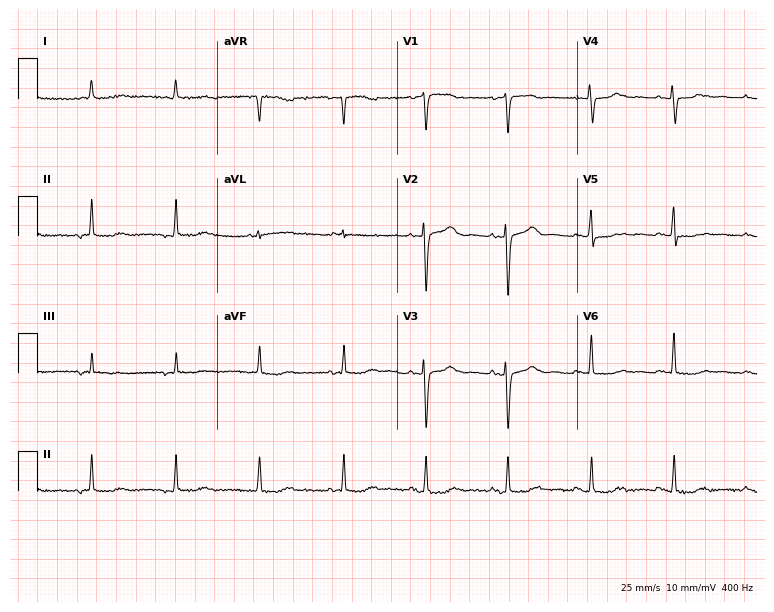
ECG (7.3-second recording at 400 Hz) — a female patient, 63 years old. Screened for six findings — first-degree AV block, right bundle branch block, left bundle branch block, sinus bradycardia, atrial fibrillation, sinus tachycardia — none is recorded. Only these six findings were labelled.